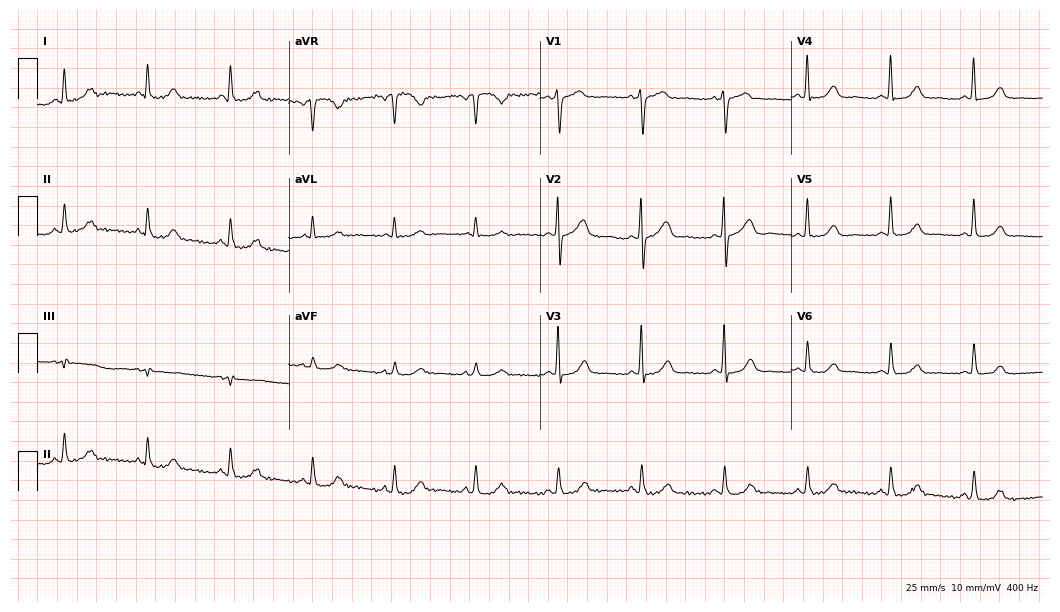
ECG — a 65-year-old woman. Screened for six findings — first-degree AV block, right bundle branch block, left bundle branch block, sinus bradycardia, atrial fibrillation, sinus tachycardia — none is recorded.